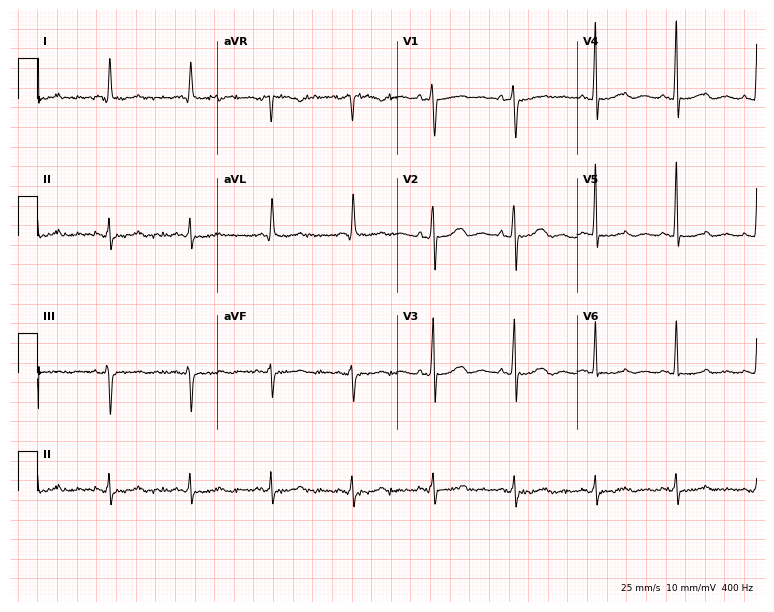
Standard 12-lead ECG recorded from a 61-year-old female patient. None of these six findings is recorded: first-degree AV block, right bundle branch block, left bundle branch block, sinus bradycardia, atrial fibrillation, sinus tachycardia.